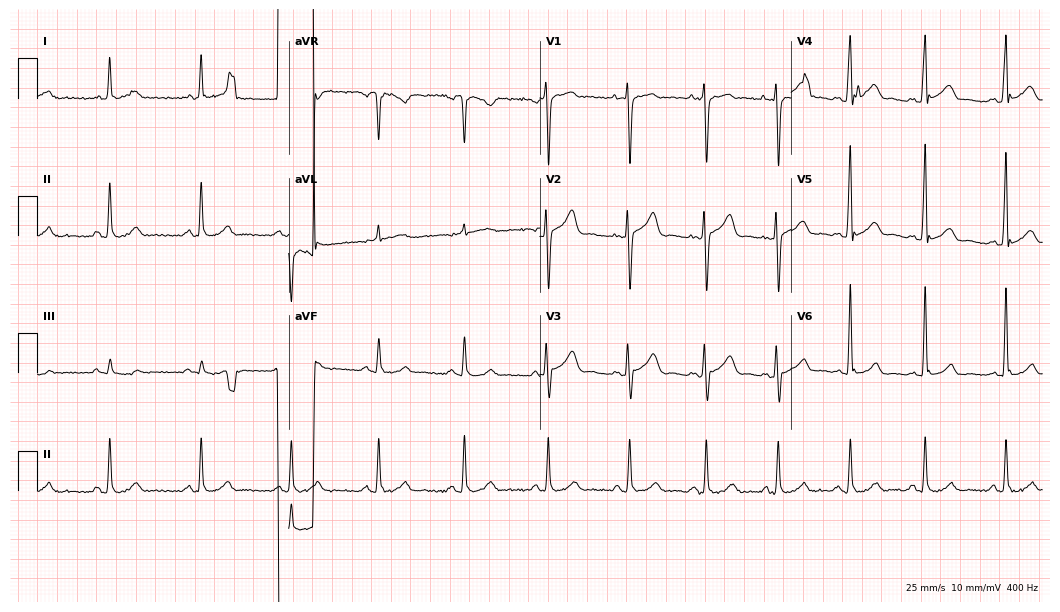
Resting 12-lead electrocardiogram (10.2-second recording at 400 Hz). Patient: a 42-year-old male. Read as a normal ECG.